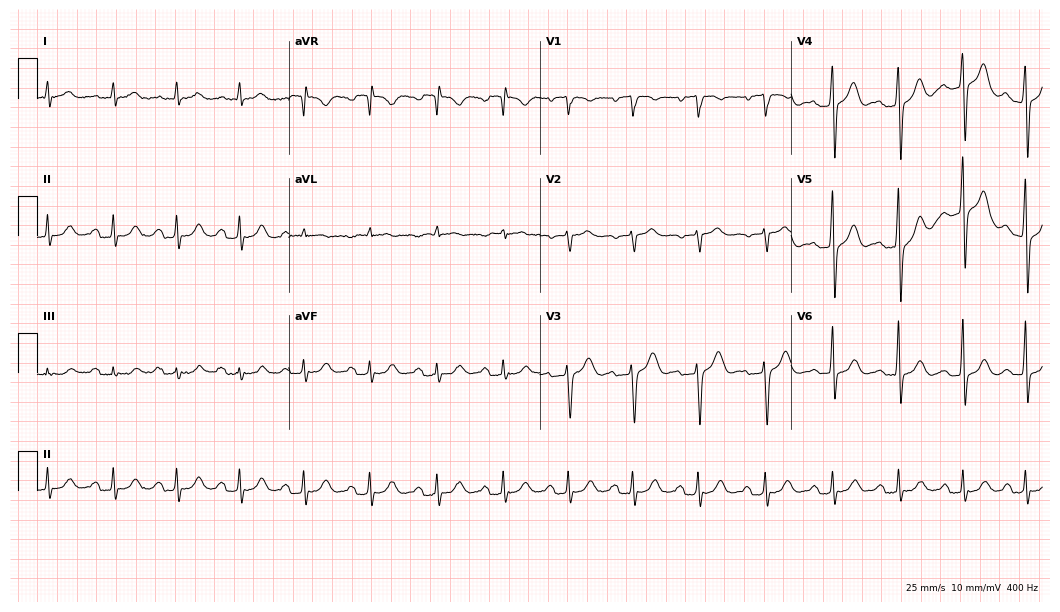
12-lead ECG from a 61-year-old man. Recorded interpretation: within normal limits.